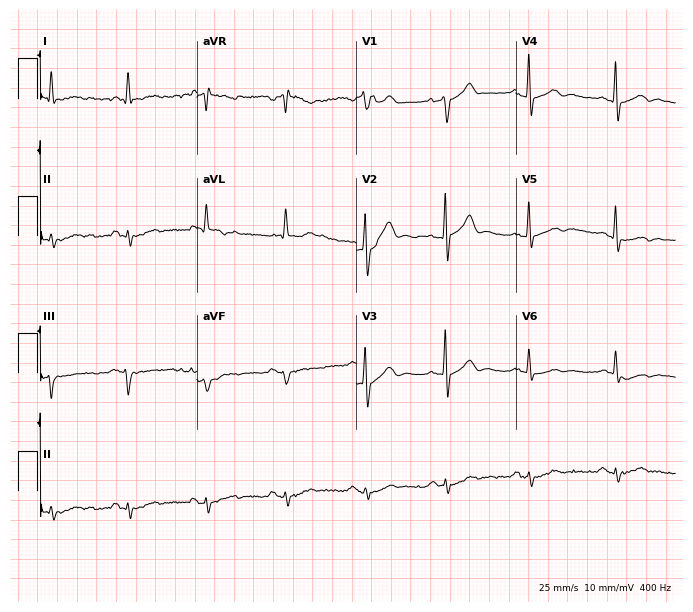
Electrocardiogram (6.5-second recording at 400 Hz), a 71-year-old man. Of the six screened findings (first-degree AV block, right bundle branch block (RBBB), left bundle branch block (LBBB), sinus bradycardia, atrial fibrillation (AF), sinus tachycardia), none is recorded.